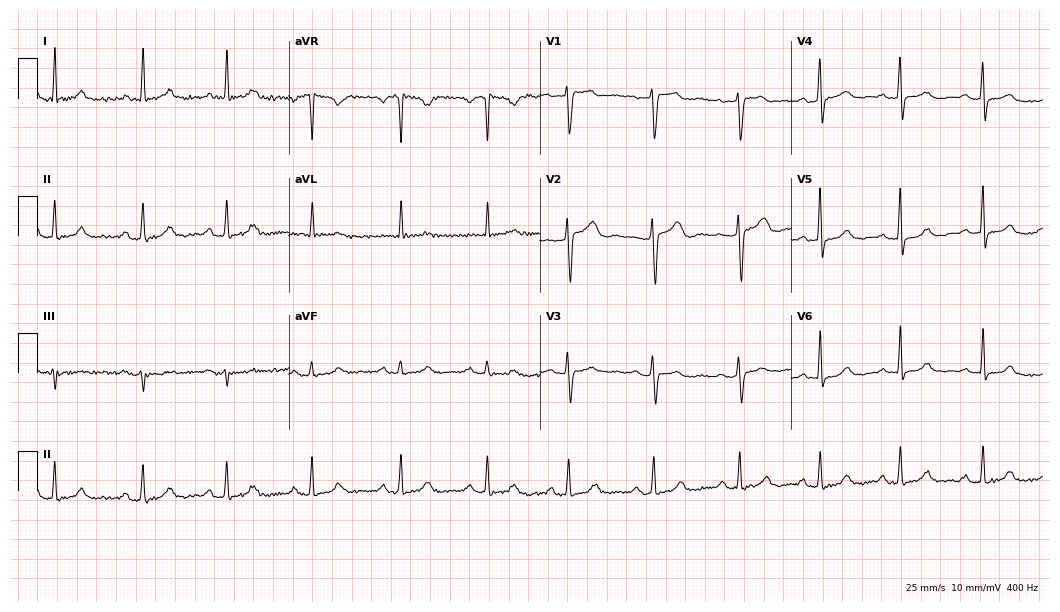
ECG — a 39-year-old female. Screened for six findings — first-degree AV block, right bundle branch block (RBBB), left bundle branch block (LBBB), sinus bradycardia, atrial fibrillation (AF), sinus tachycardia — none is recorded. Only these six findings were labelled.